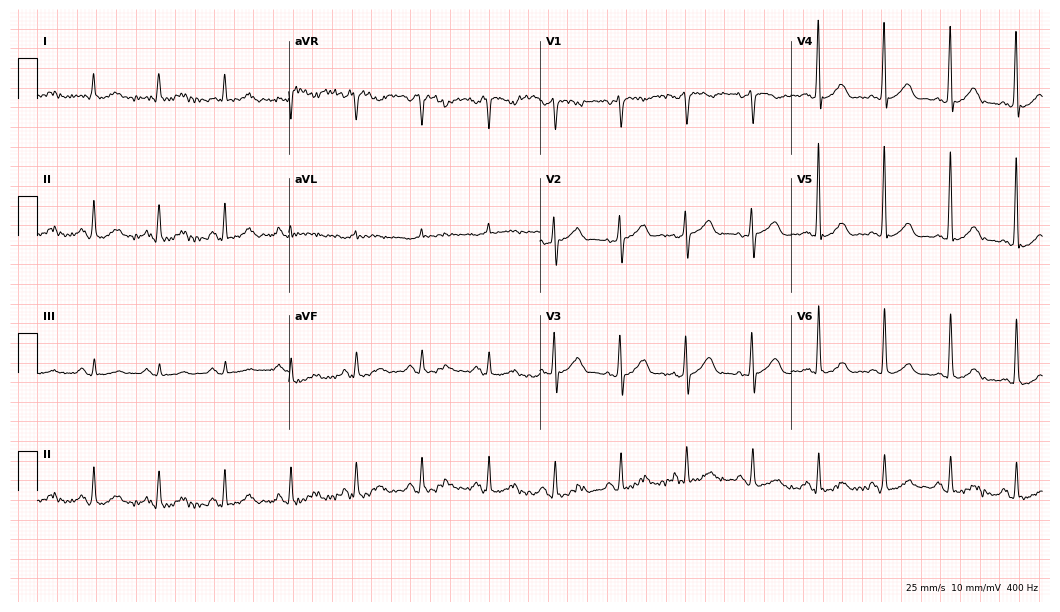
12-lead ECG (10.2-second recording at 400 Hz) from a male, 66 years old. Labelled as a normal ECG.